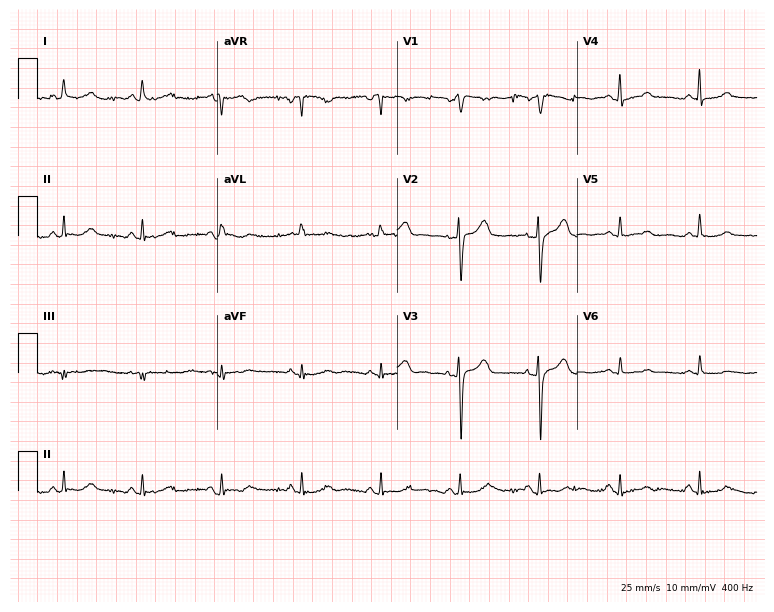
Resting 12-lead electrocardiogram (7.3-second recording at 400 Hz). Patient: a female, 71 years old. Read as a normal ECG.